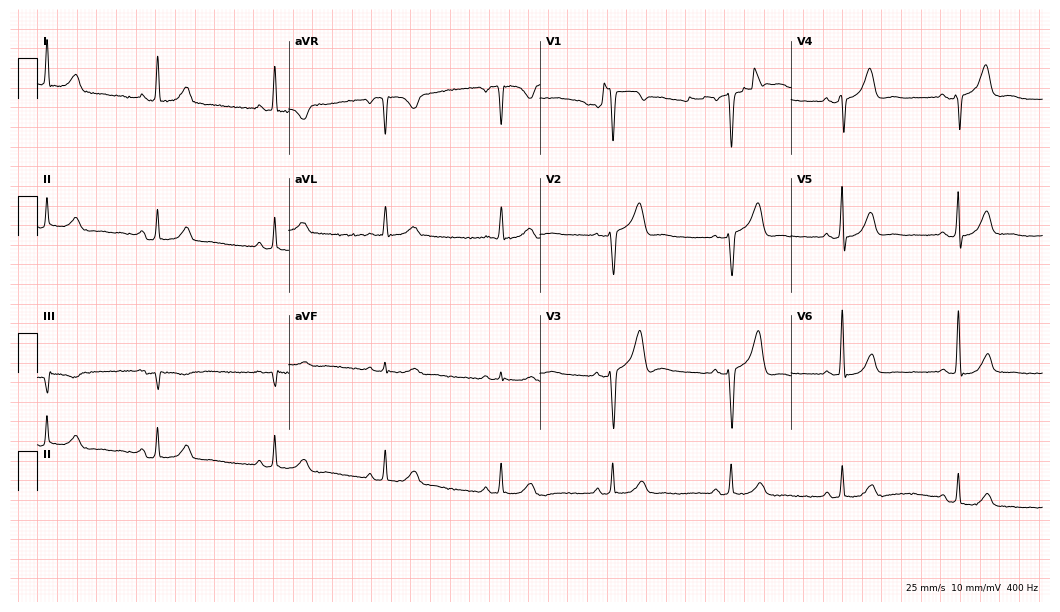
12-lead ECG from a man, 60 years old. Labelled as a normal ECG.